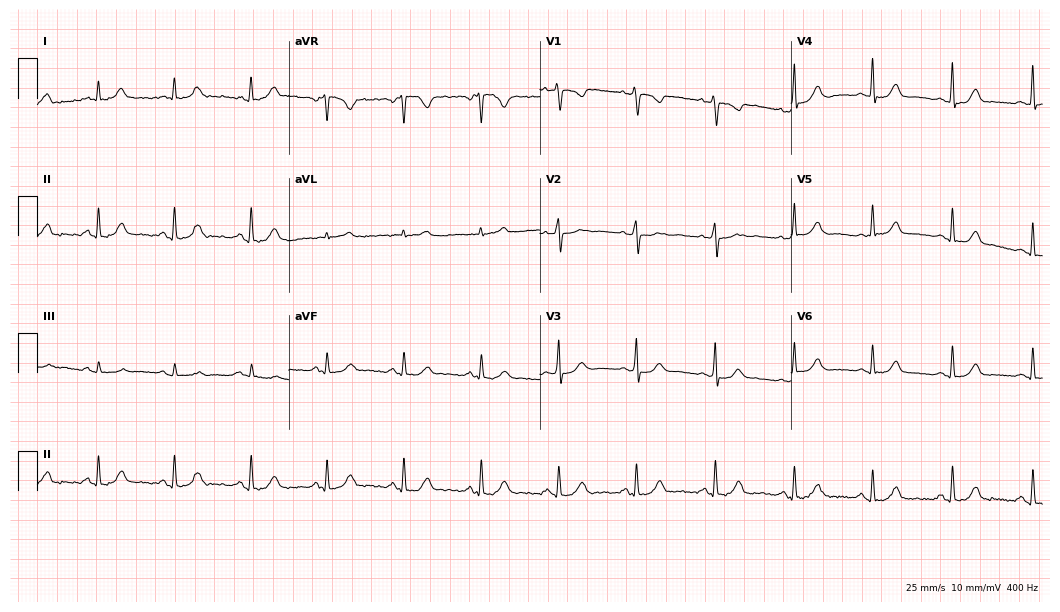
Standard 12-lead ECG recorded from a female, 37 years old. None of these six findings is recorded: first-degree AV block, right bundle branch block (RBBB), left bundle branch block (LBBB), sinus bradycardia, atrial fibrillation (AF), sinus tachycardia. Only these six findings were labelled.